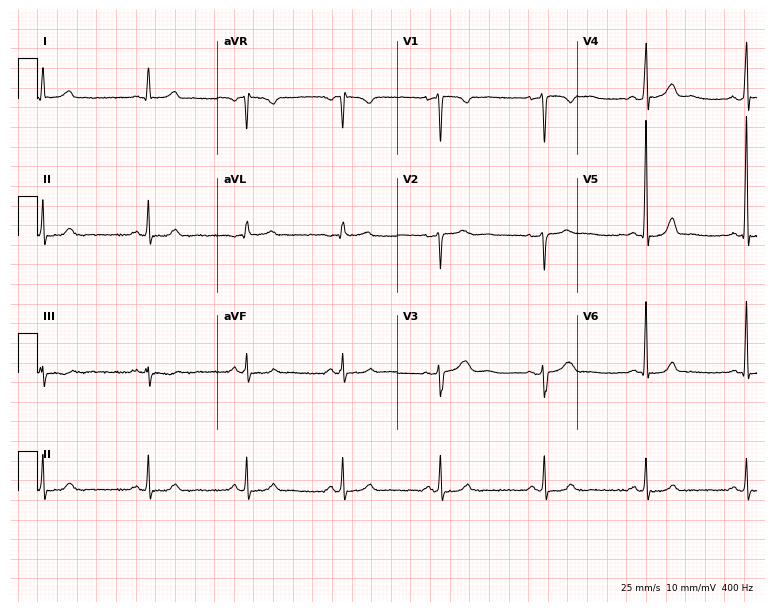
12-lead ECG from a 41-year-old woman. Labelled as a normal ECG.